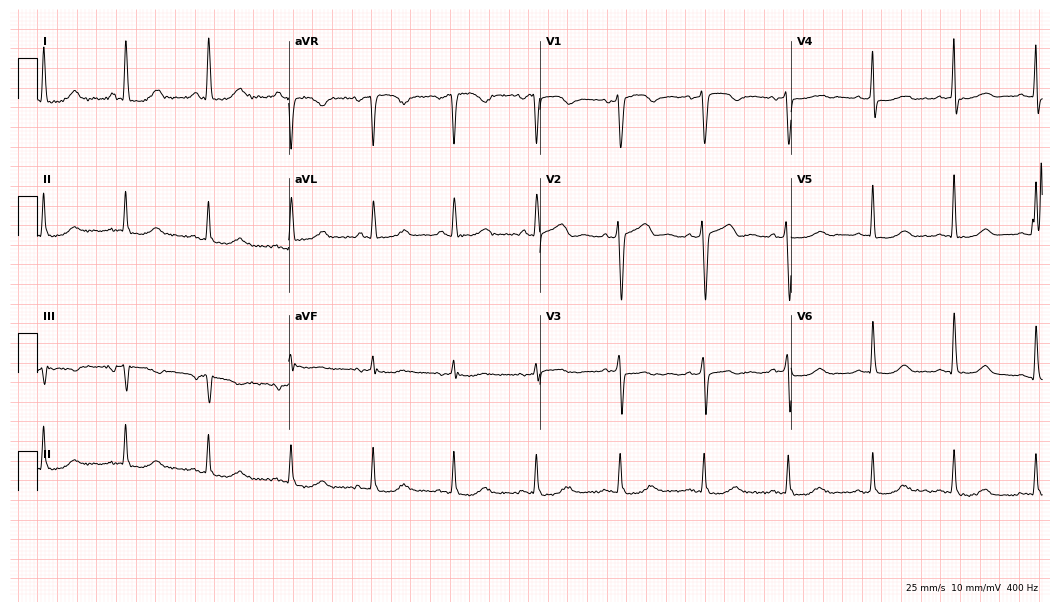
Electrocardiogram, a 53-year-old female. Of the six screened findings (first-degree AV block, right bundle branch block, left bundle branch block, sinus bradycardia, atrial fibrillation, sinus tachycardia), none is recorded. Only these six findings were labelled.